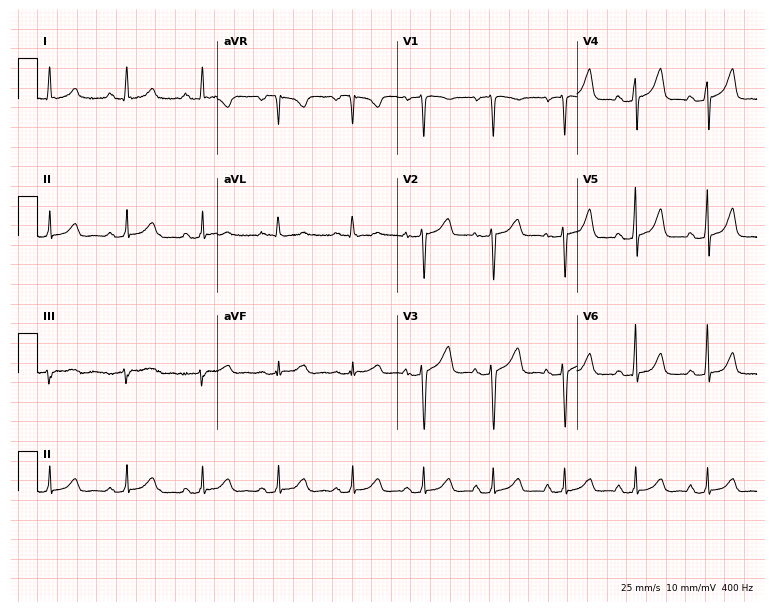
Resting 12-lead electrocardiogram (7.3-second recording at 400 Hz). Patient: a female, 46 years old. Read as a normal ECG.